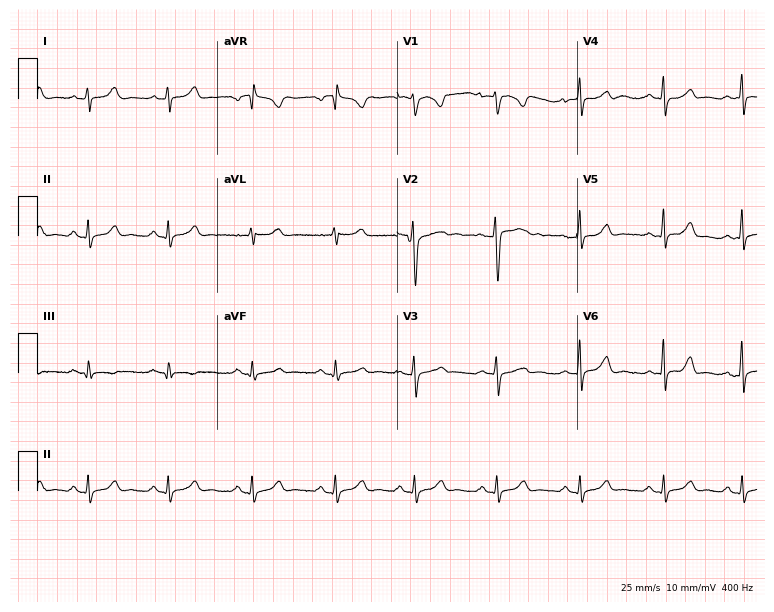
ECG (7.3-second recording at 400 Hz) — a 23-year-old woman. Screened for six findings — first-degree AV block, right bundle branch block, left bundle branch block, sinus bradycardia, atrial fibrillation, sinus tachycardia — none is recorded.